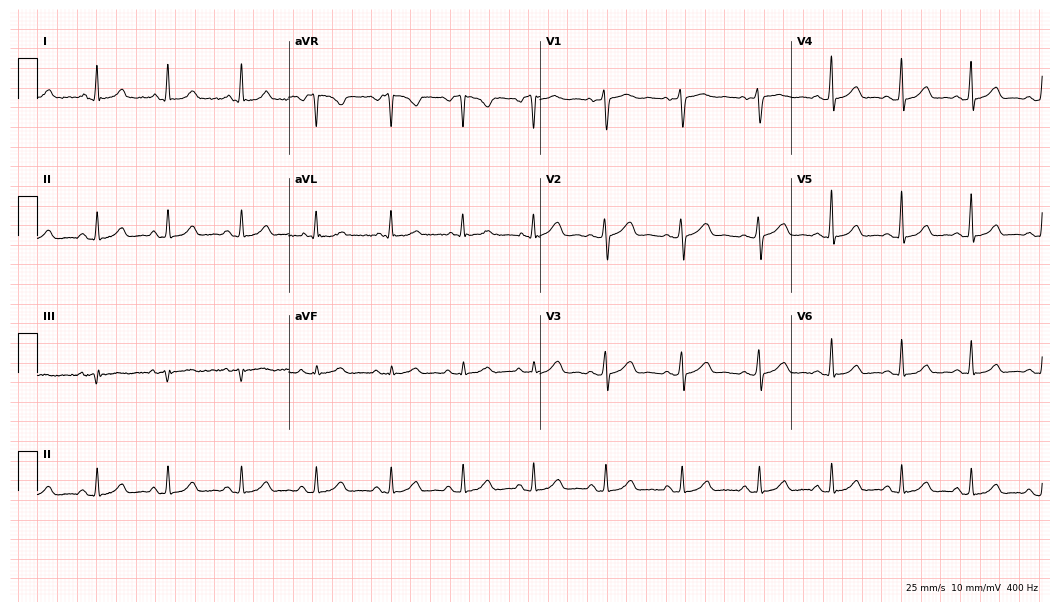
12-lead ECG from a 40-year-old female patient. Recorded interpretation: within normal limits.